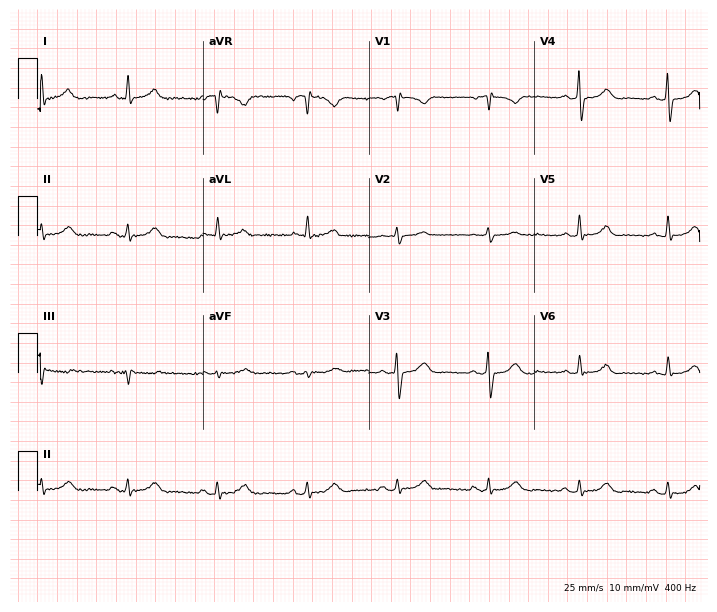
Standard 12-lead ECG recorded from a woman, 71 years old. None of these six findings is recorded: first-degree AV block, right bundle branch block, left bundle branch block, sinus bradycardia, atrial fibrillation, sinus tachycardia. Only these six findings were labelled.